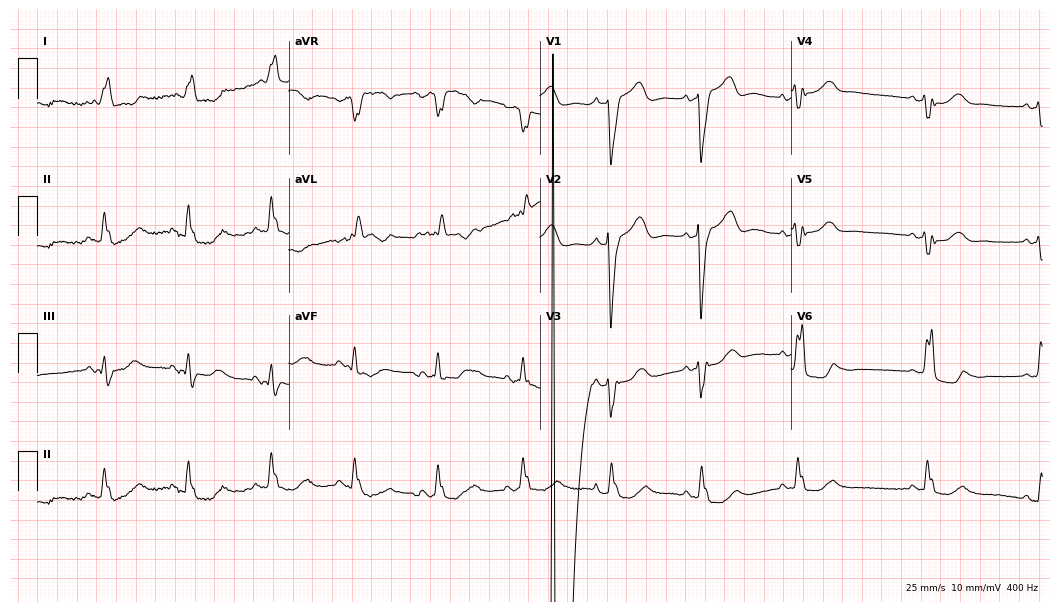
Standard 12-lead ECG recorded from an 85-year-old woman. None of these six findings is recorded: first-degree AV block, right bundle branch block, left bundle branch block, sinus bradycardia, atrial fibrillation, sinus tachycardia. Other findings, if any, are not listed.